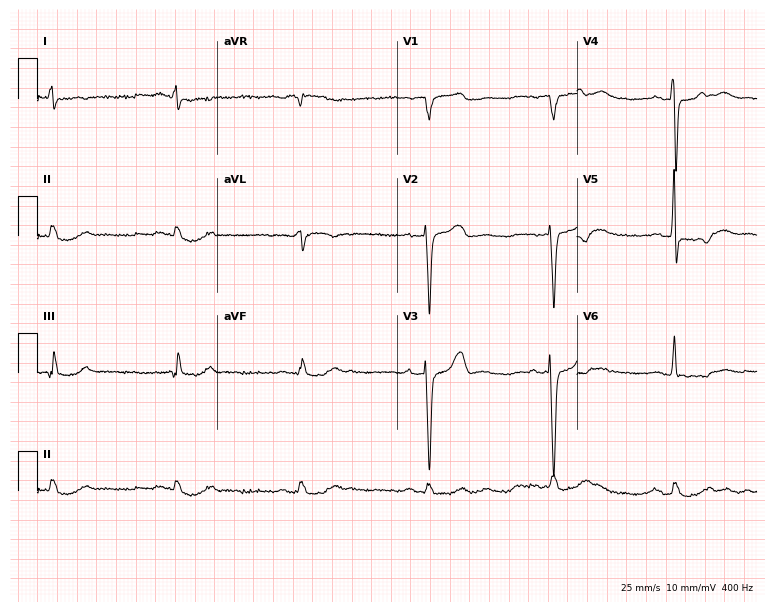
ECG (7.3-second recording at 400 Hz) — a woman, 87 years old. Findings include sinus bradycardia (a sinus rate of 50 beats per minute or less).